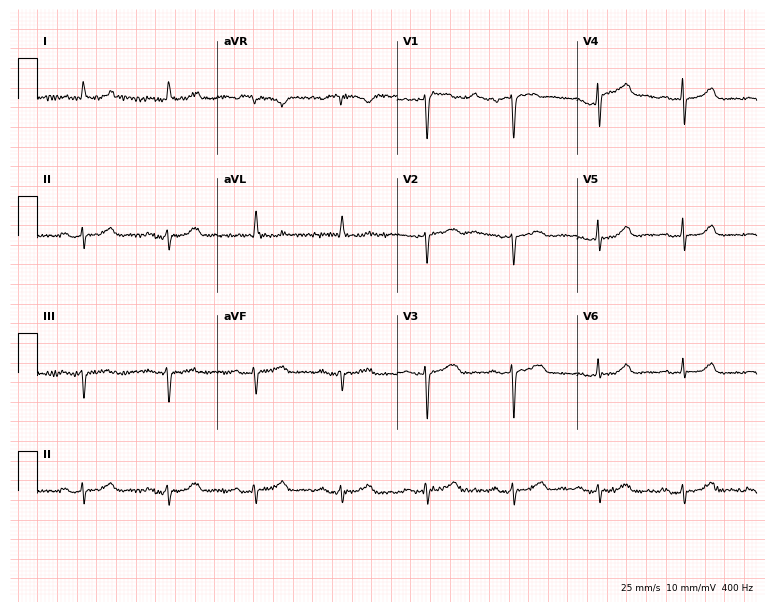
12-lead ECG from a 74-year-old female patient. Screened for six findings — first-degree AV block, right bundle branch block, left bundle branch block, sinus bradycardia, atrial fibrillation, sinus tachycardia — none is recorded.